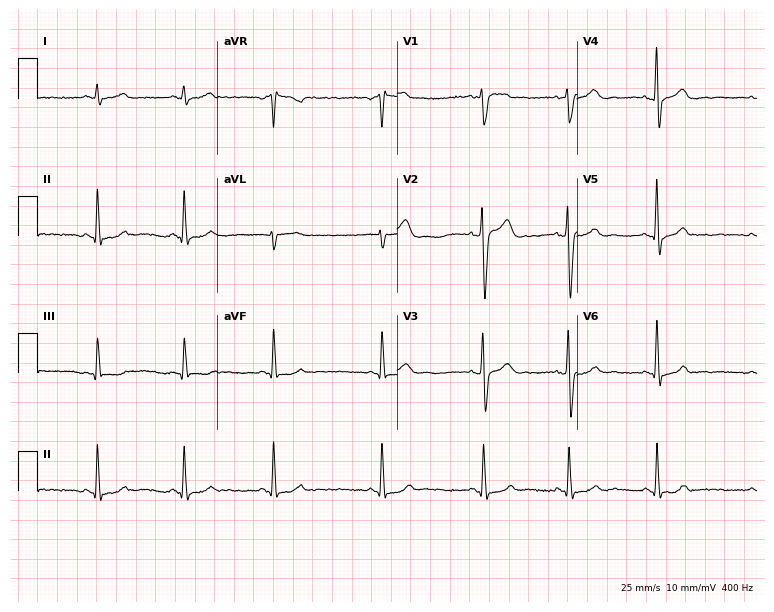
12-lead ECG from a man, 35 years old (7.3-second recording at 400 Hz). Recorded interpretation: within normal limits.